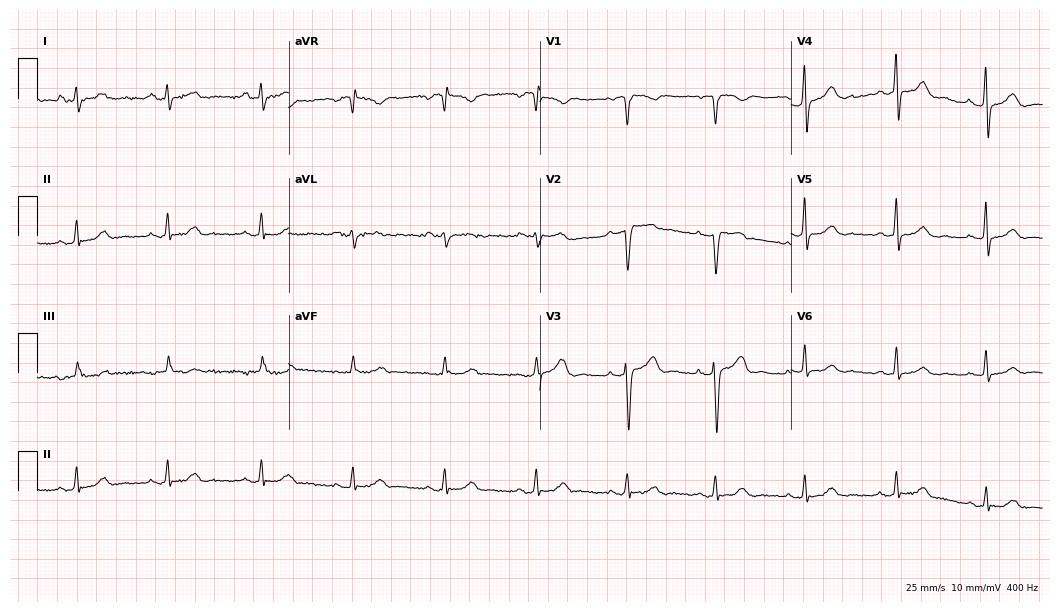
Standard 12-lead ECG recorded from a woman, 44 years old. Read as a normal ECG.